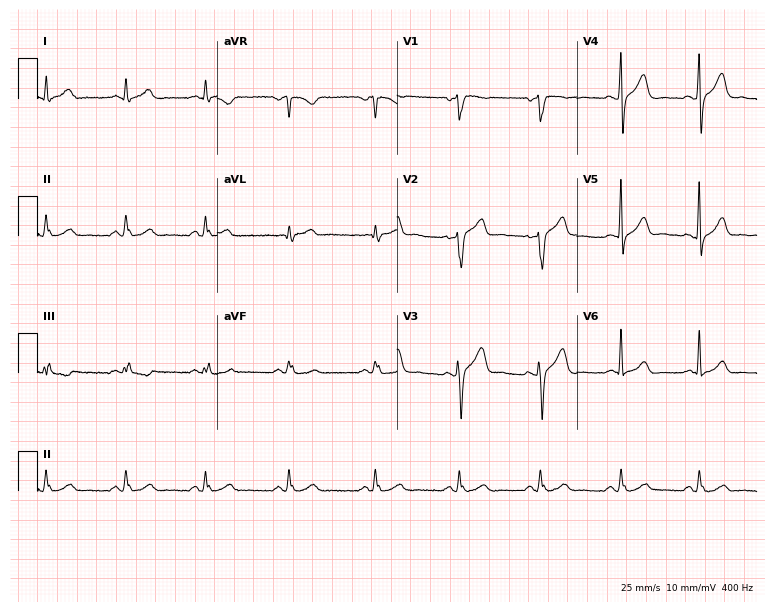
12-lead ECG from a 47-year-old man. Labelled as a normal ECG.